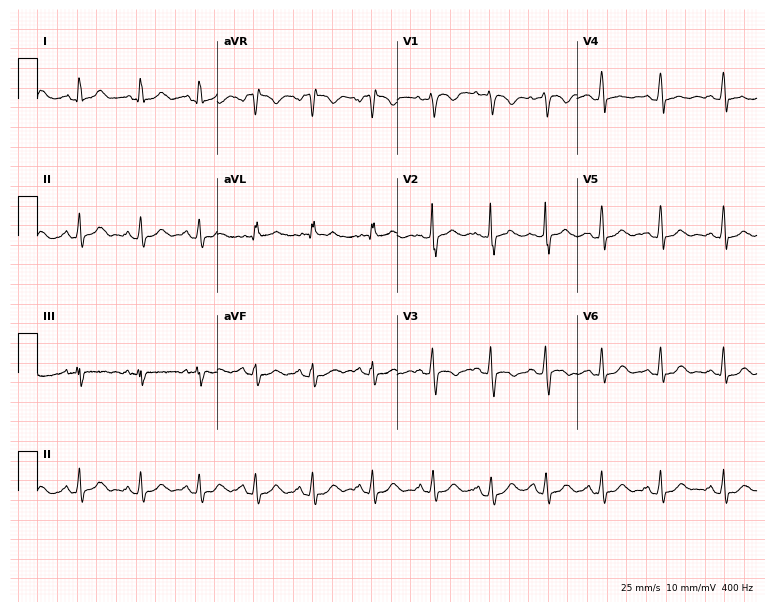
Resting 12-lead electrocardiogram. Patient: a 25-year-old female. The tracing shows sinus tachycardia (a sinus rate of 100 beats per minute or more).